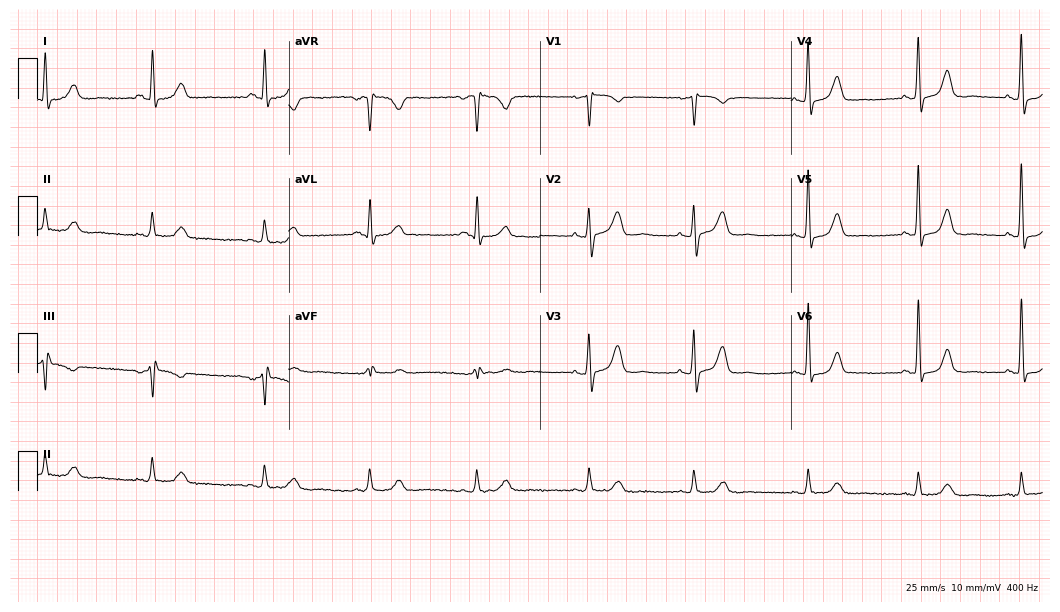
Standard 12-lead ECG recorded from a woman, 61 years old. Read as a normal ECG.